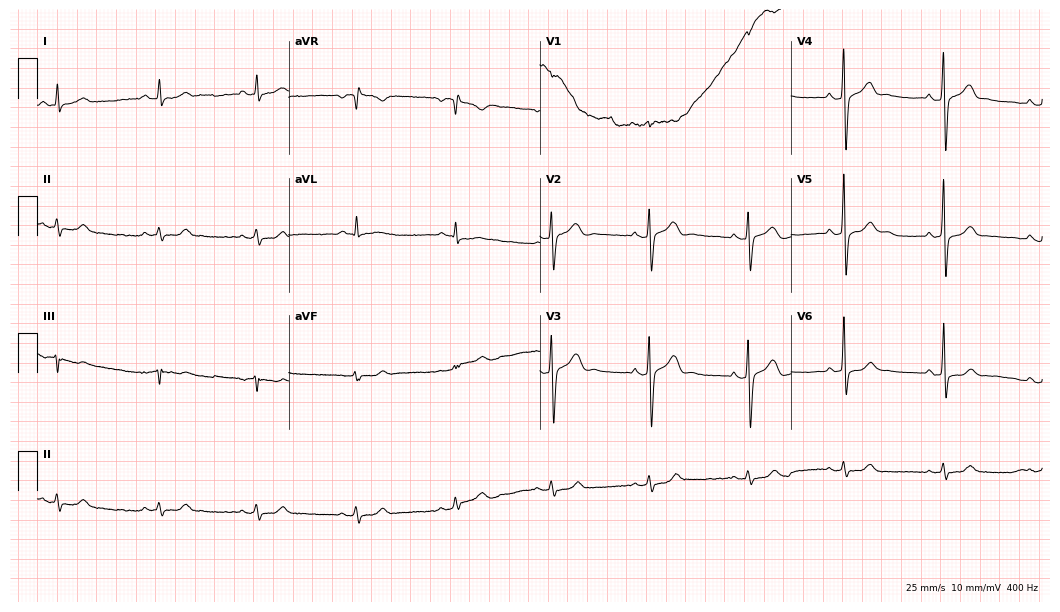
ECG — a 36-year-old male patient. Labelled as a normal ECG.